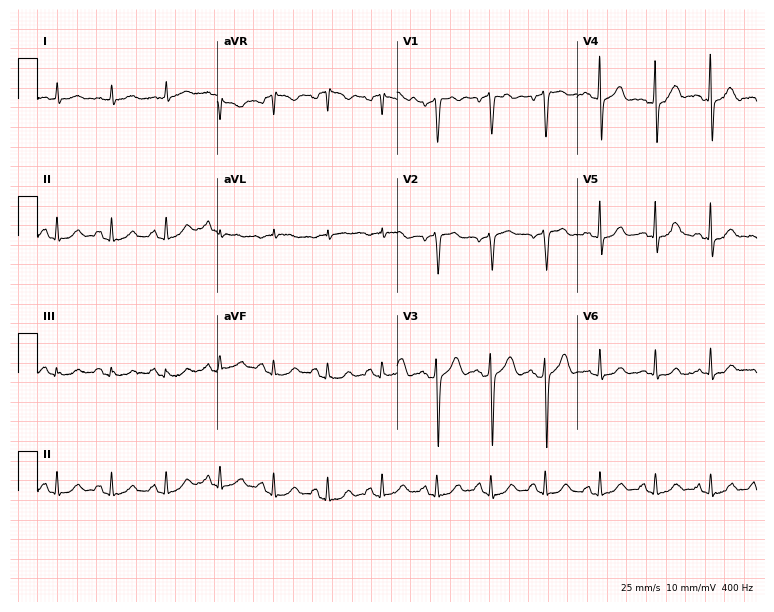
ECG — a 75-year-old male patient. Findings include sinus tachycardia (a sinus rate of 100 beats per minute or more).